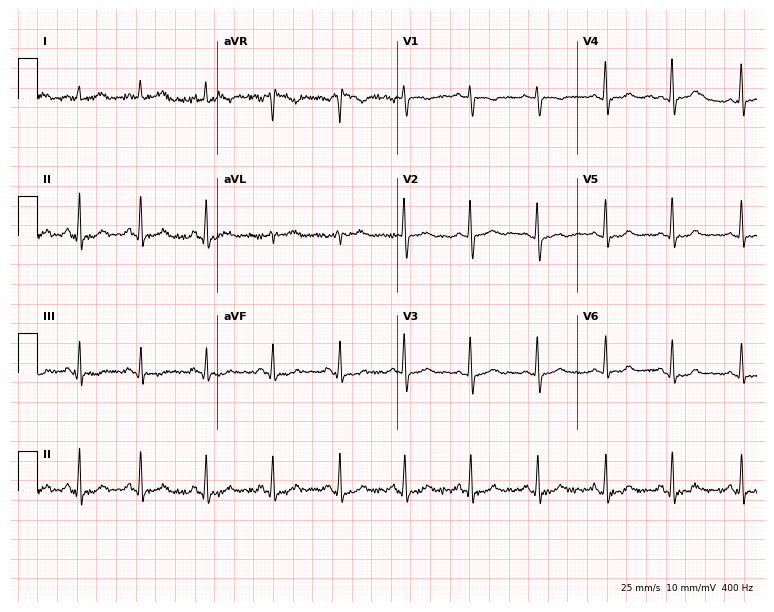
Standard 12-lead ECG recorded from a 44-year-old woman. None of these six findings is recorded: first-degree AV block, right bundle branch block, left bundle branch block, sinus bradycardia, atrial fibrillation, sinus tachycardia. Only these six findings were labelled.